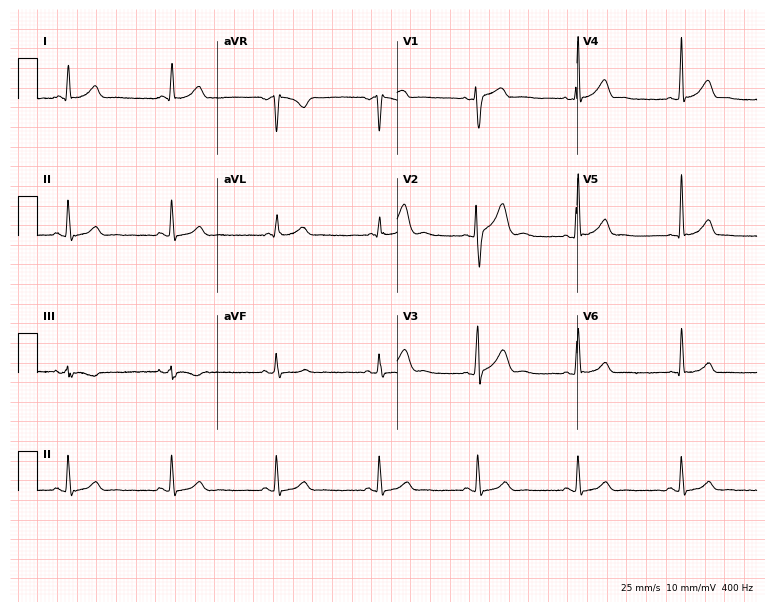
Standard 12-lead ECG recorded from a male patient, 31 years old (7.3-second recording at 400 Hz). None of these six findings is recorded: first-degree AV block, right bundle branch block, left bundle branch block, sinus bradycardia, atrial fibrillation, sinus tachycardia.